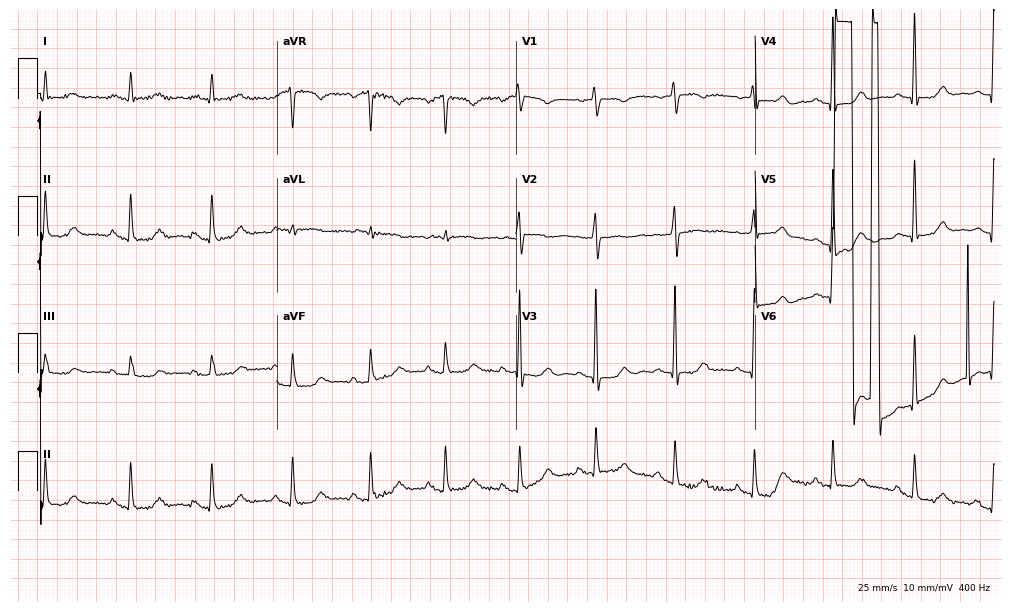
Electrocardiogram (9.8-second recording at 400 Hz), a female patient, 75 years old. Of the six screened findings (first-degree AV block, right bundle branch block (RBBB), left bundle branch block (LBBB), sinus bradycardia, atrial fibrillation (AF), sinus tachycardia), none is recorded.